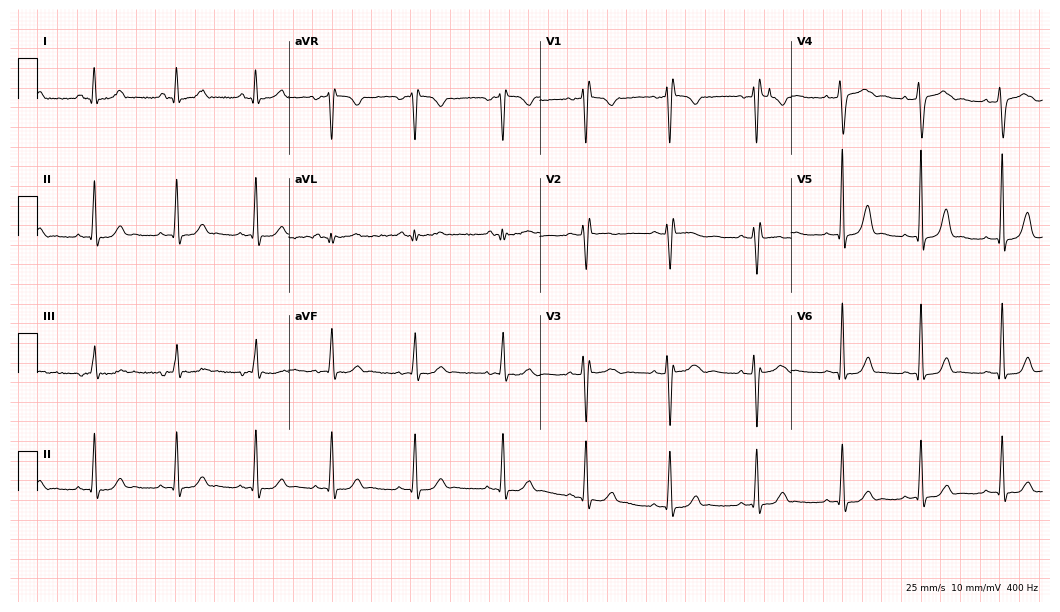
Electrocardiogram (10.2-second recording at 400 Hz), a 20-year-old female patient. Of the six screened findings (first-degree AV block, right bundle branch block (RBBB), left bundle branch block (LBBB), sinus bradycardia, atrial fibrillation (AF), sinus tachycardia), none is recorded. Other findings, if any, are not listed.